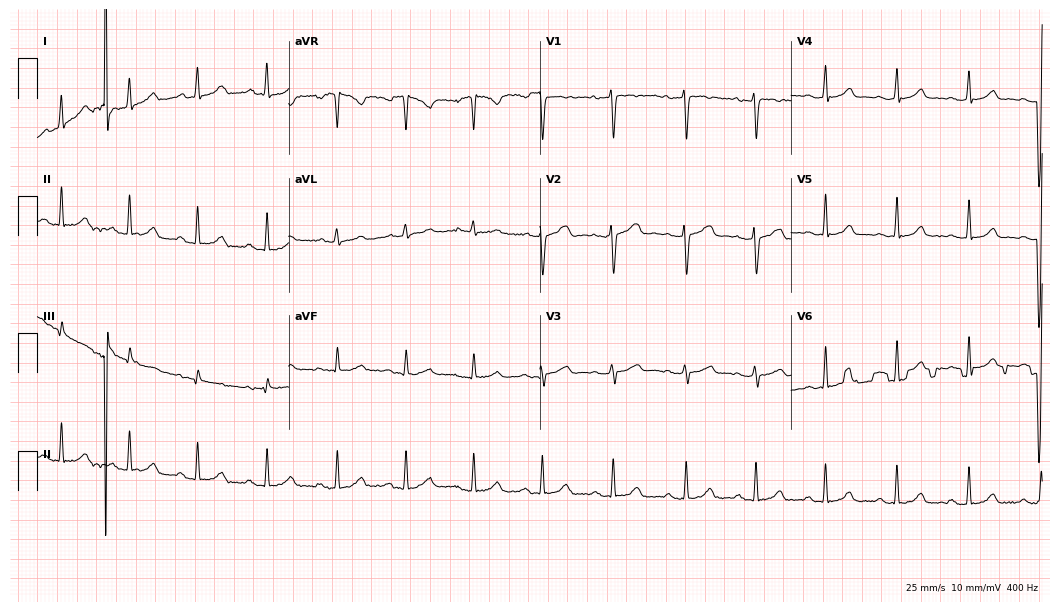
ECG — an 18-year-old female patient. Screened for six findings — first-degree AV block, right bundle branch block (RBBB), left bundle branch block (LBBB), sinus bradycardia, atrial fibrillation (AF), sinus tachycardia — none is recorded. Other findings, if any, are not listed.